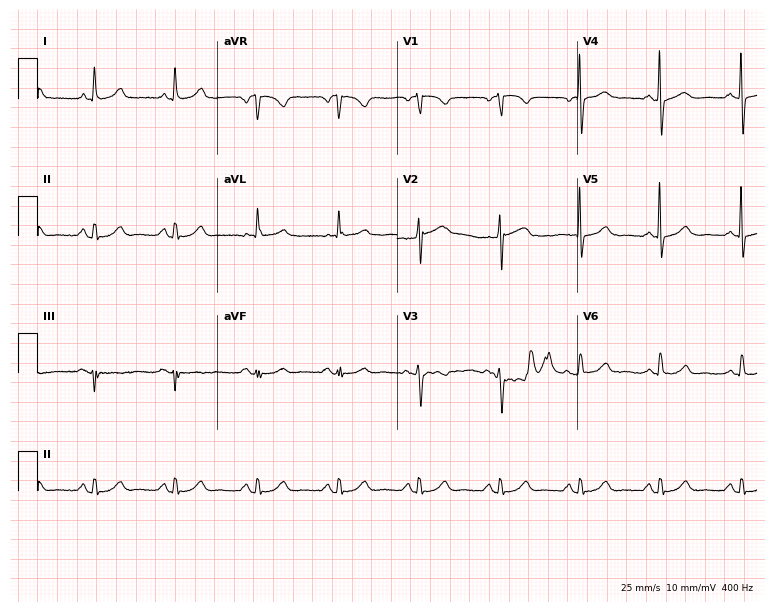
Standard 12-lead ECG recorded from a woman, 66 years old (7.3-second recording at 400 Hz). Read as a normal ECG.